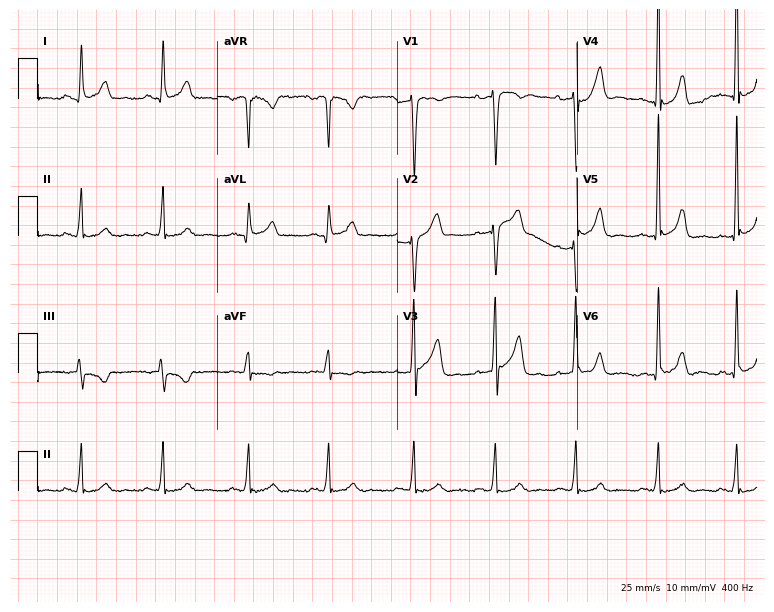
12-lead ECG from a male patient, 30 years old. Screened for six findings — first-degree AV block, right bundle branch block, left bundle branch block, sinus bradycardia, atrial fibrillation, sinus tachycardia — none is recorded. Other findings, if any, are not listed.